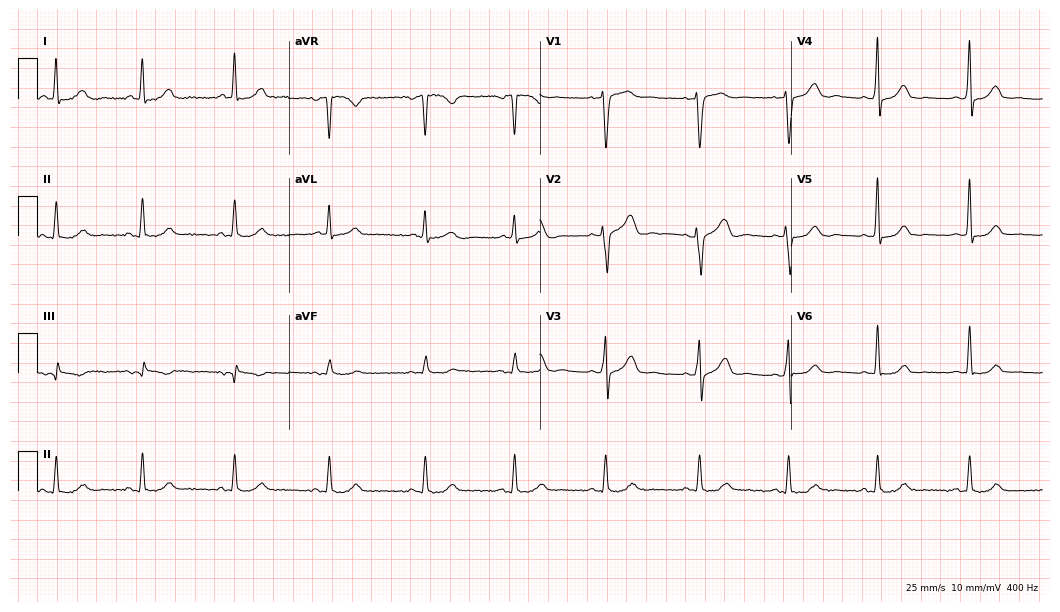
12-lead ECG (10.2-second recording at 400 Hz) from a 42-year-old female patient. Screened for six findings — first-degree AV block, right bundle branch block, left bundle branch block, sinus bradycardia, atrial fibrillation, sinus tachycardia — none is recorded. Other findings, if any, are not listed.